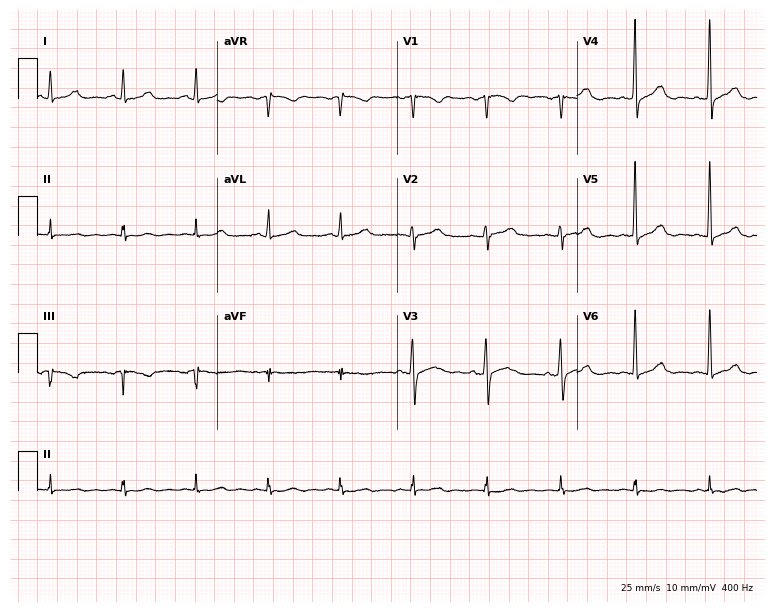
Resting 12-lead electrocardiogram (7.3-second recording at 400 Hz). Patient: a female, 57 years old. None of these six findings is recorded: first-degree AV block, right bundle branch block, left bundle branch block, sinus bradycardia, atrial fibrillation, sinus tachycardia. Other findings, if any, are not listed.